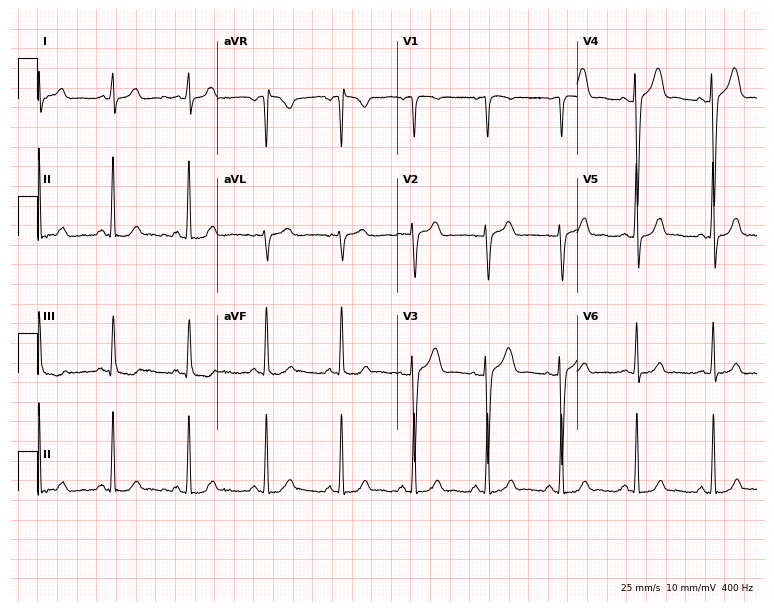
Electrocardiogram (7.3-second recording at 400 Hz), a 24-year-old female. Overall reading on record: normal ECG.